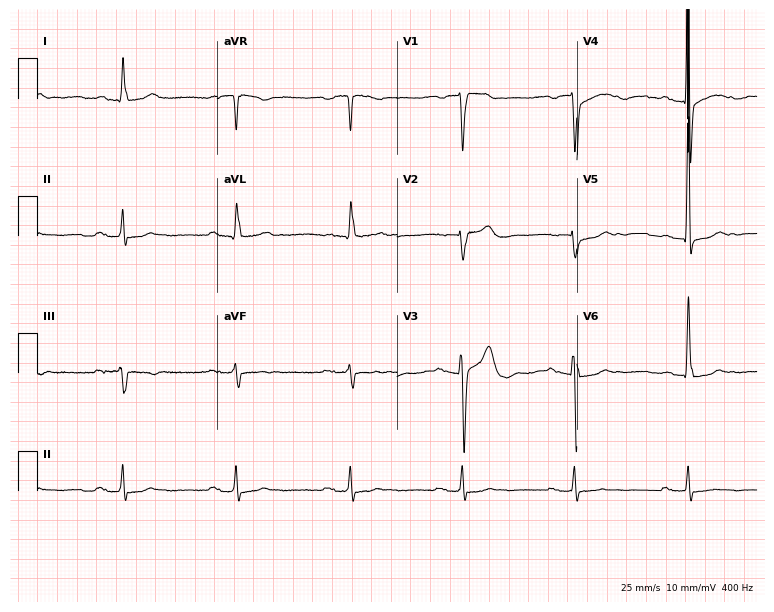
ECG (7.3-second recording at 400 Hz) — a man, 82 years old. Screened for six findings — first-degree AV block, right bundle branch block, left bundle branch block, sinus bradycardia, atrial fibrillation, sinus tachycardia — none is recorded. Other findings, if any, are not listed.